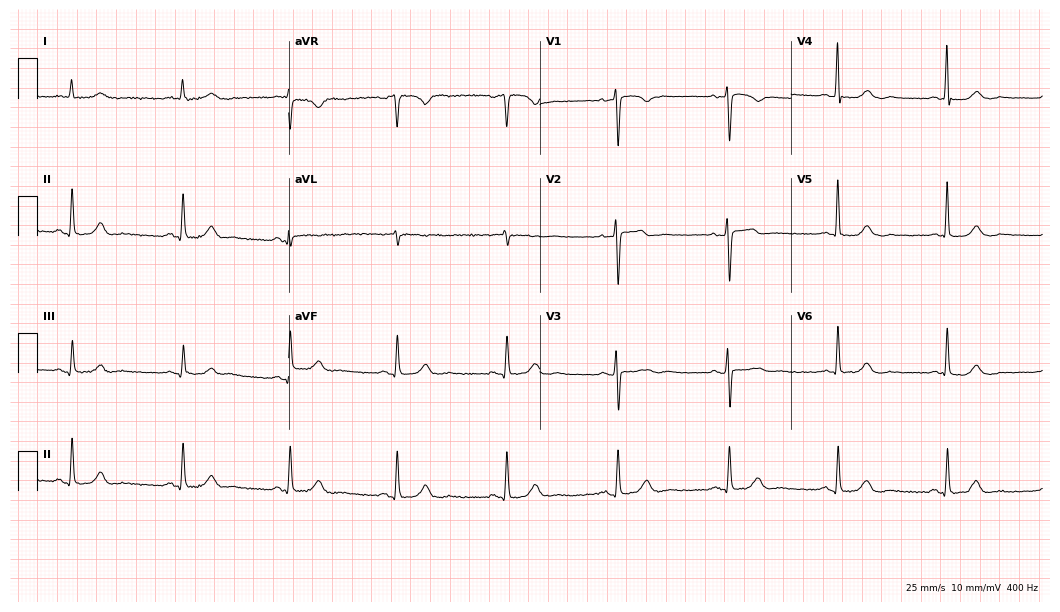
12-lead ECG from a 63-year-old woman (10.2-second recording at 400 Hz). Recorded interpretation: within normal limits.